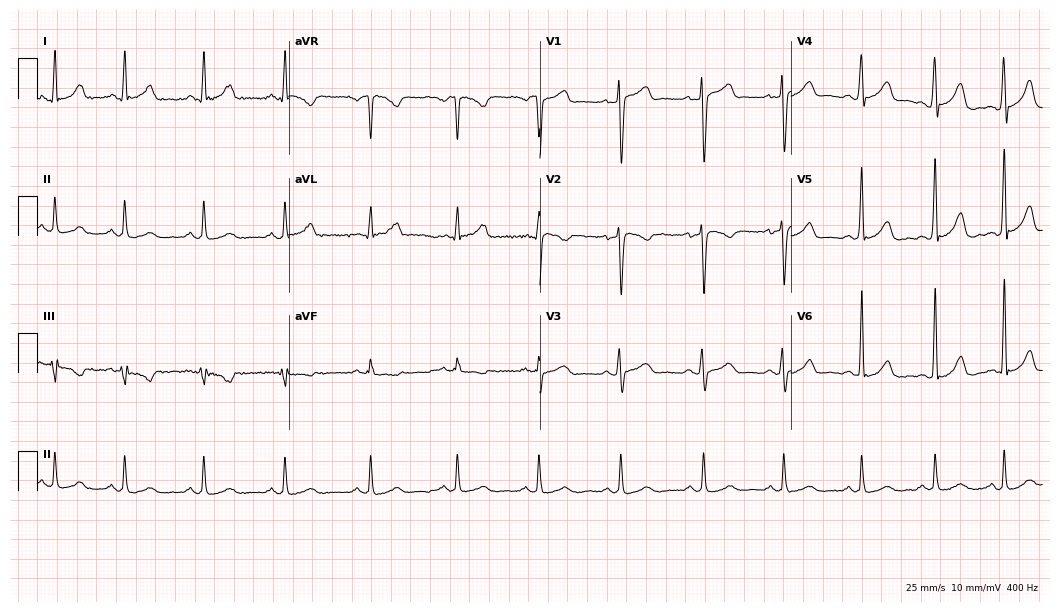
12-lead ECG from a 26-year-old man. Labelled as a normal ECG.